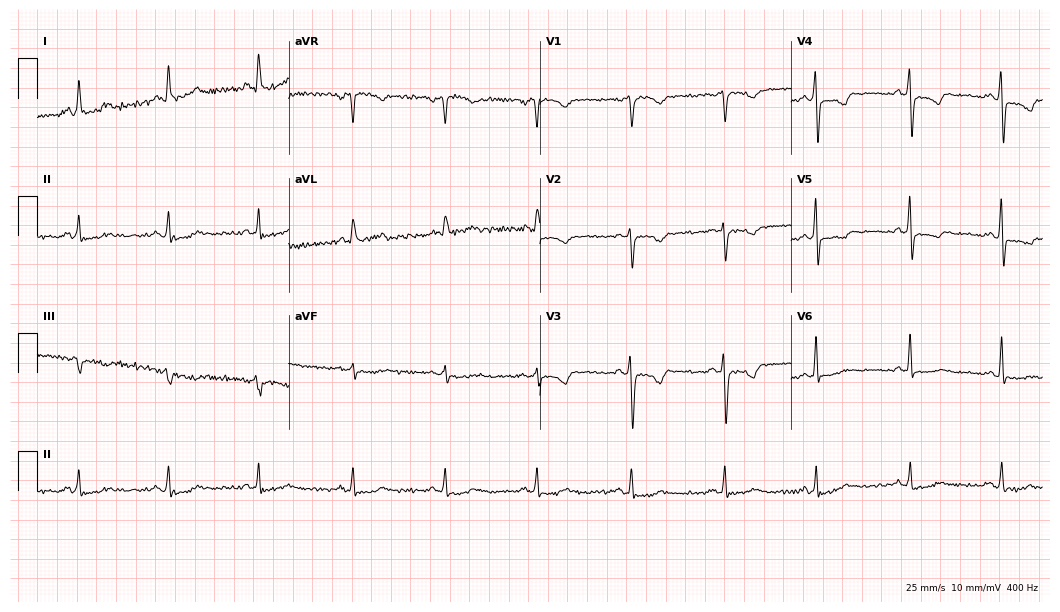
12-lead ECG from a woman, 59 years old. Screened for six findings — first-degree AV block, right bundle branch block (RBBB), left bundle branch block (LBBB), sinus bradycardia, atrial fibrillation (AF), sinus tachycardia — none is recorded. Only these six findings were labelled.